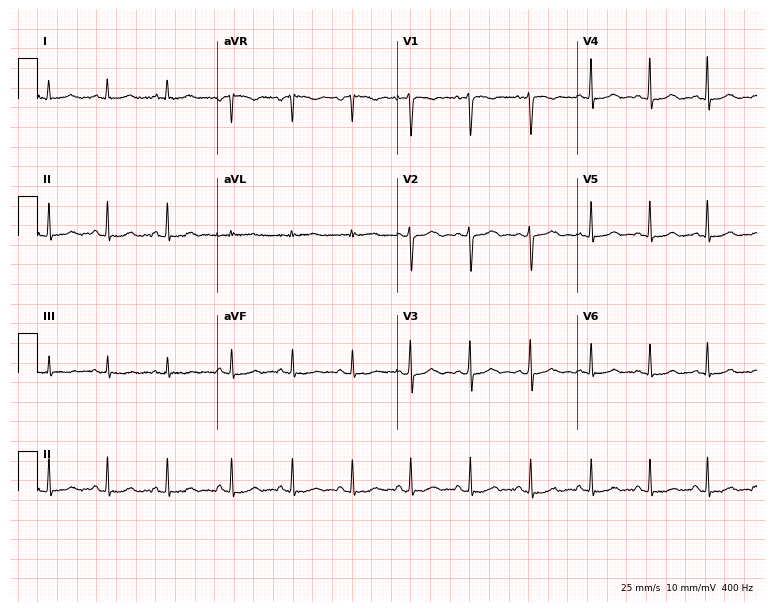
Resting 12-lead electrocardiogram (7.3-second recording at 400 Hz). Patient: a female, 19 years old. None of these six findings is recorded: first-degree AV block, right bundle branch block (RBBB), left bundle branch block (LBBB), sinus bradycardia, atrial fibrillation (AF), sinus tachycardia.